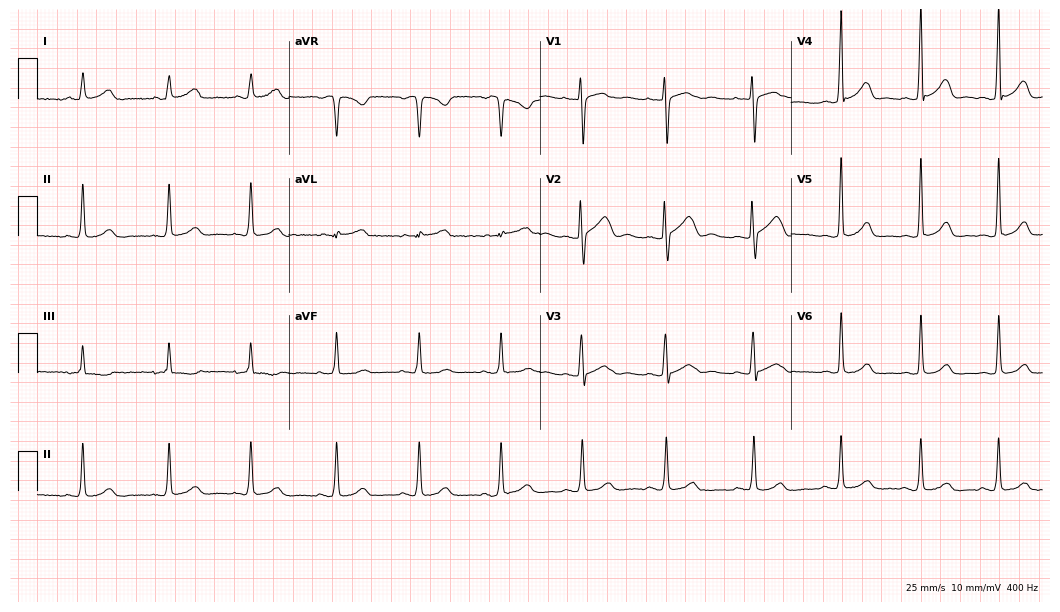
12-lead ECG from a 29-year-old female patient. No first-degree AV block, right bundle branch block, left bundle branch block, sinus bradycardia, atrial fibrillation or sinus tachycardia recorded for this tracing.